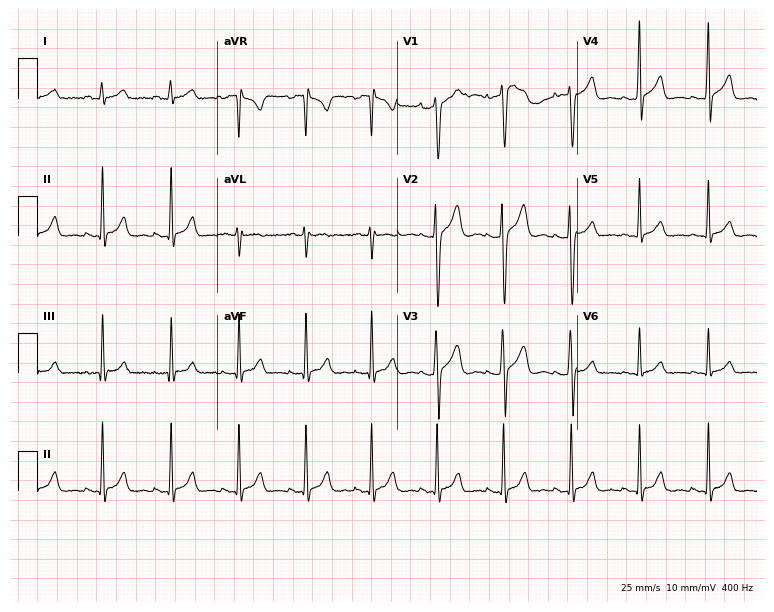
ECG — a male, 22 years old. Screened for six findings — first-degree AV block, right bundle branch block (RBBB), left bundle branch block (LBBB), sinus bradycardia, atrial fibrillation (AF), sinus tachycardia — none is recorded.